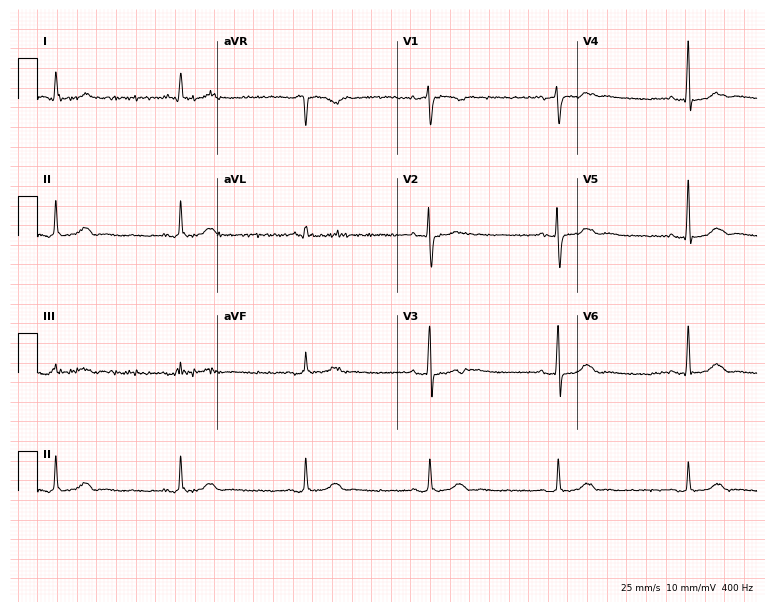
Electrocardiogram, a 72-year-old female patient. Interpretation includes sinus bradycardia (a sinus rate of 50 beats per minute or less).